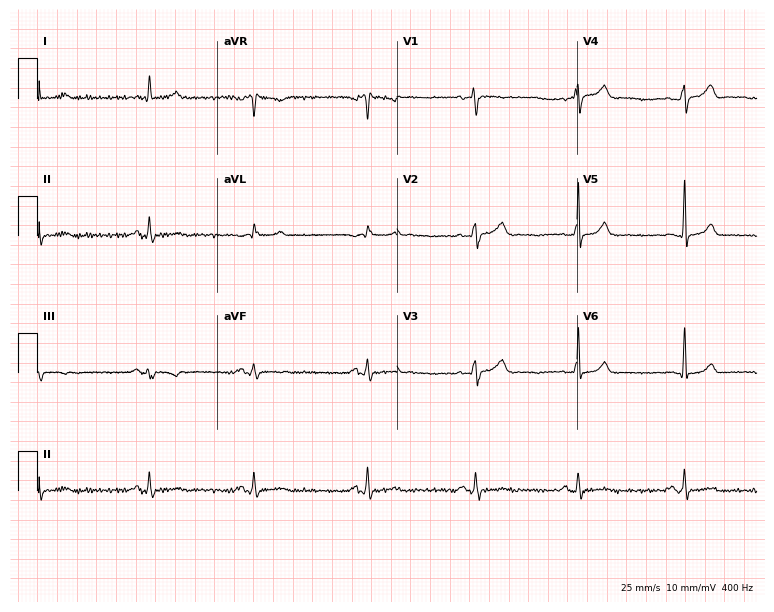
12-lead ECG (7.3-second recording at 400 Hz) from a 46-year-old male. Screened for six findings — first-degree AV block, right bundle branch block (RBBB), left bundle branch block (LBBB), sinus bradycardia, atrial fibrillation (AF), sinus tachycardia — none is recorded. Findings outside these six are not listed.